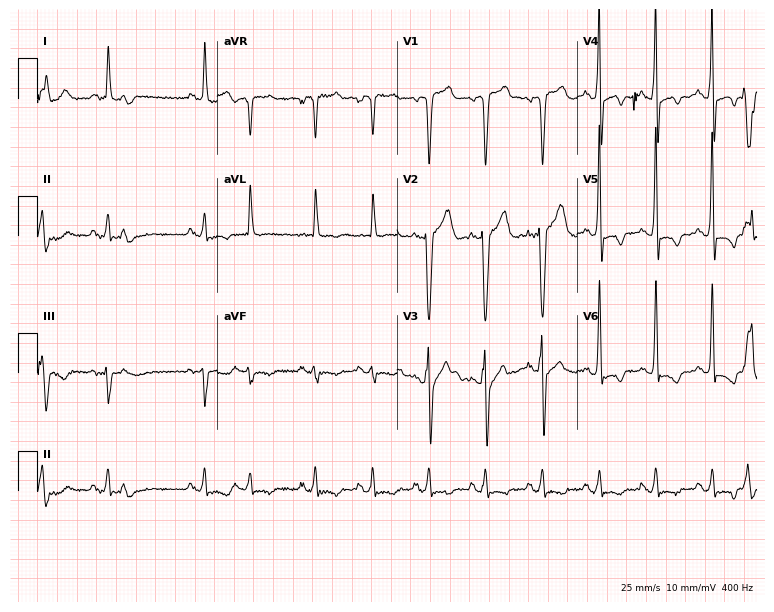
12-lead ECG from a male patient, 59 years old. No first-degree AV block, right bundle branch block (RBBB), left bundle branch block (LBBB), sinus bradycardia, atrial fibrillation (AF) or sinus tachycardia recorded for this tracing.